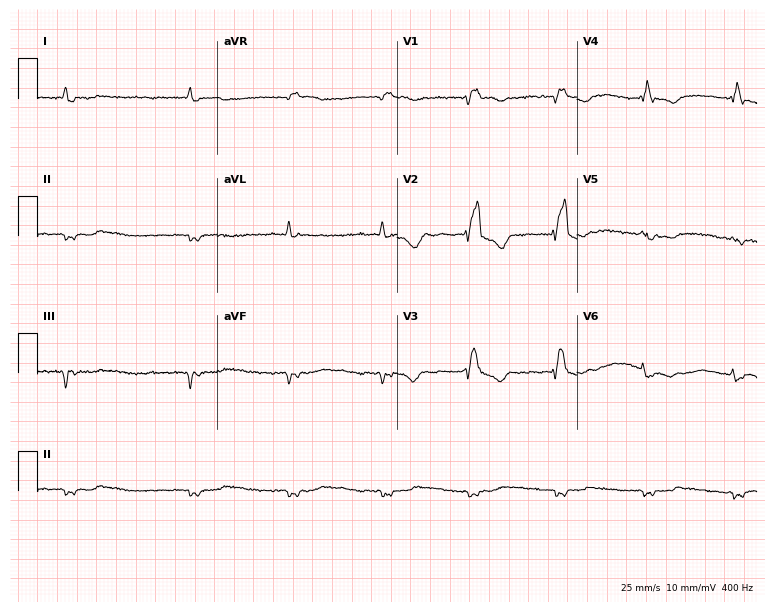
Standard 12-lead ECG recorded from a man, 80 years old (7.3-second recording at 400 Hz). None of these six findings is recorded: first-degree AV block, right bundle branch block (RBBB), left bundle branch block (LBBB), sinus bradycardia, atrial fibrillation (AF), sinus tachycardia.